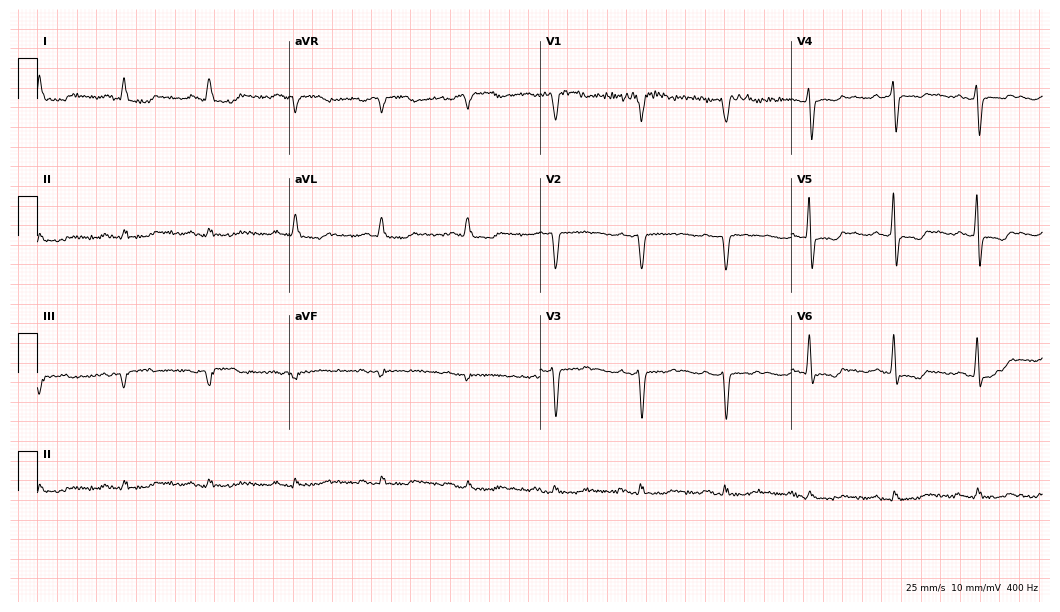
ECG (10.2-second recording at 400 Hz) — a 57-year-old male. Screened for six findings — first-degree AV block, right bundle branch block (RBBB), left bundle branch block (LBBB), sinus bradycardia, atrial fibrillation (AF), sinus tachycardia — none is recorded. Findings outside these six are not listed.